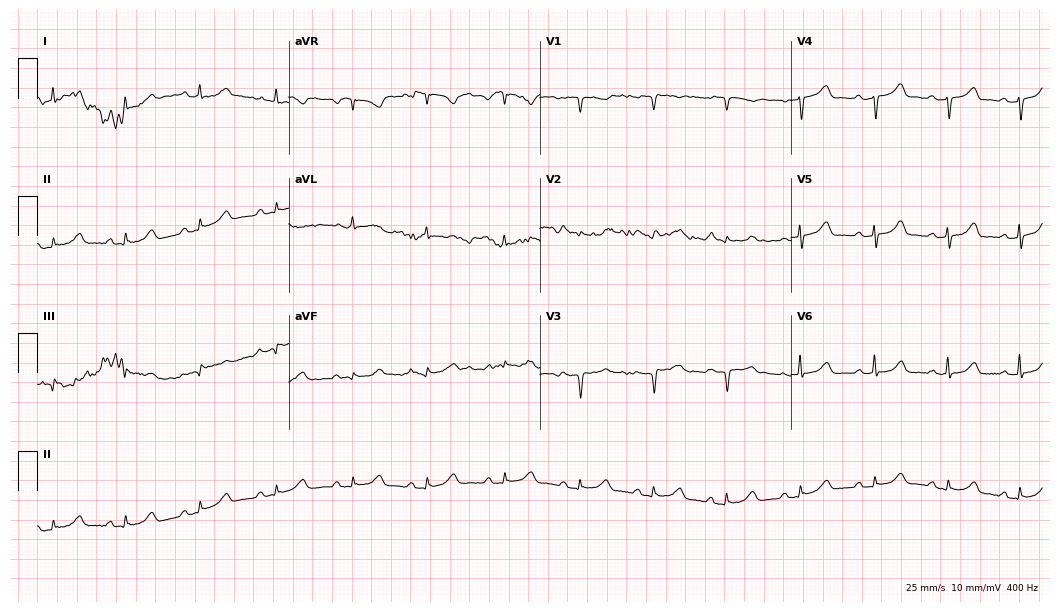
Resting 12-lead electrocardiogram (10.2-second recording at 400 Hz). Patient: a 64-year-old female. None of these six findings is recorded: first-degree AV block, right bundle branch block, left bundle branch block, sinus bradycardia, atrial fibrillation, sinus tachycardia.